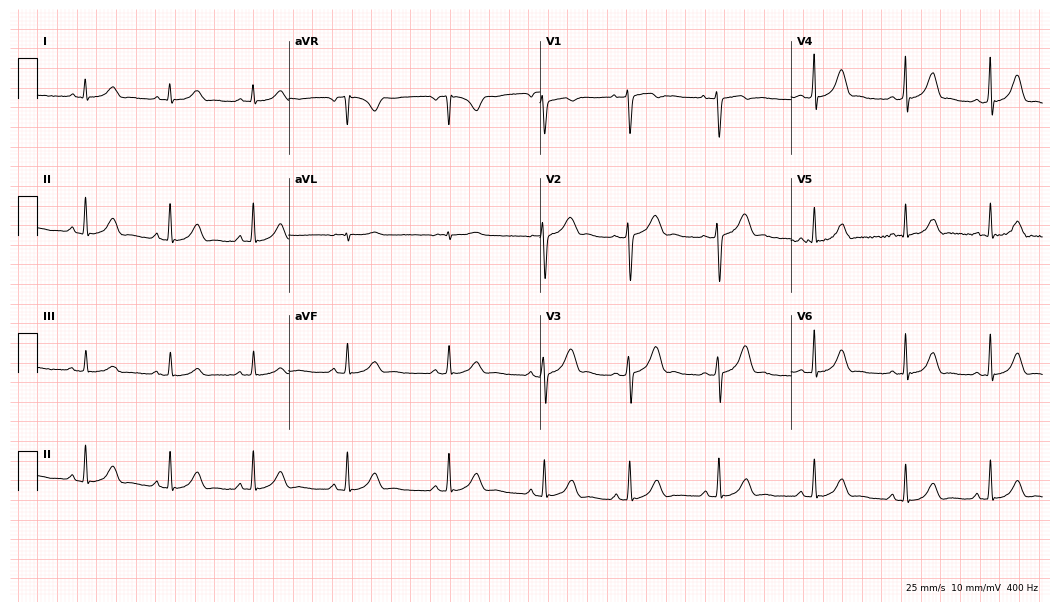
Standard 12-lead ECG recorded from a woman, 18 years old. None of these six findings is recorded: first-degree AV block, right bundle branch block (RBBB), left bundle branch block (LBBB), sinus bradycardia, atrial fibrillation (AF), sinus tachycardia.